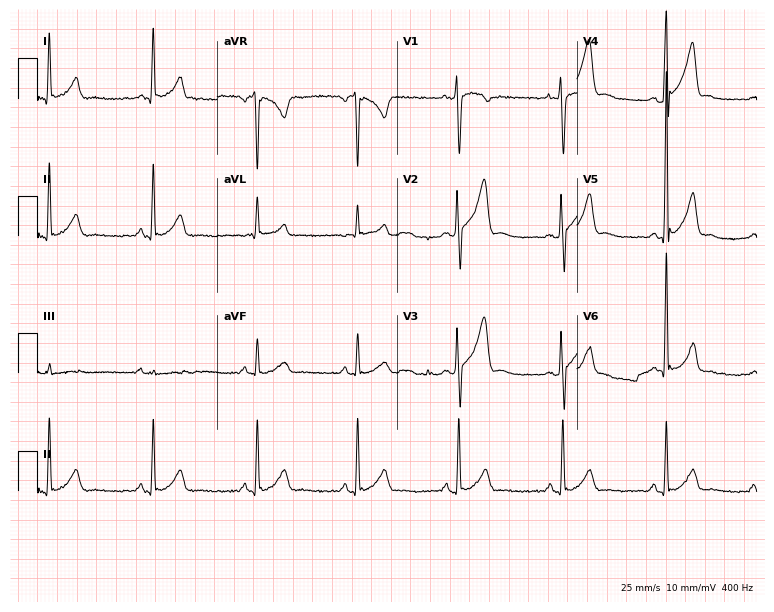
Resting 12-lead electrocardiogram. Patient: a male, 44 years old. None of these six findings is recorded: first-degree AV block, right bundle branch block (RBBB), left bundle branch block (LBBB), sinus bradycardia, atrial fibrillation (AF), sinus tachycardia.